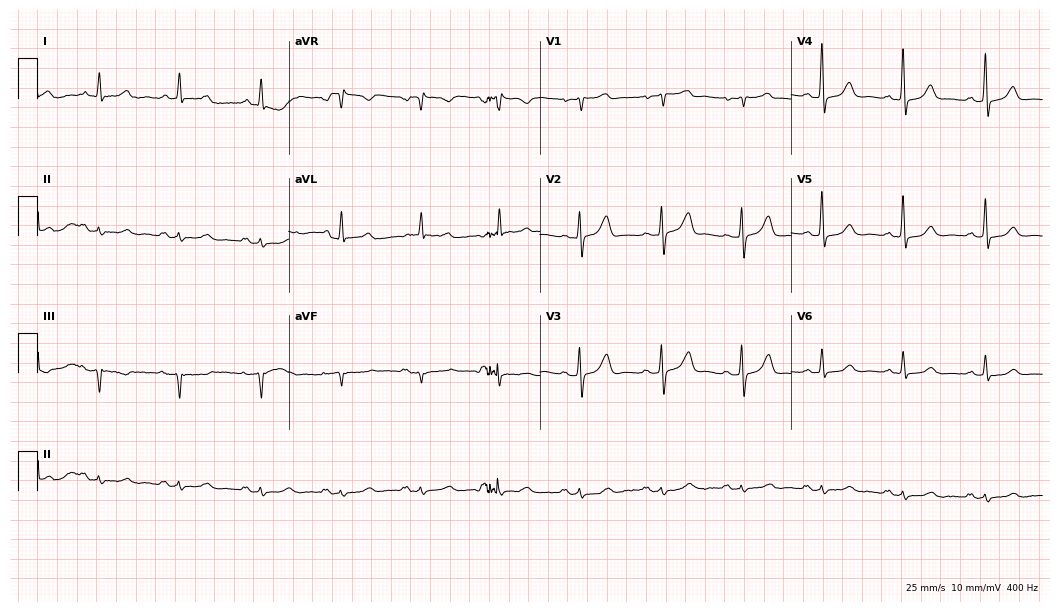
Electrocardiogram (10.2-second recording at 400 Hz), a 66-year-old man. Of the six screened findings (first-degree AV block, right bundle branch block (RBBB), left bundle branch block (LBBB), sinus bradycardia, atrial fibrillation (AF), sinus tachycardia), none is recorded.